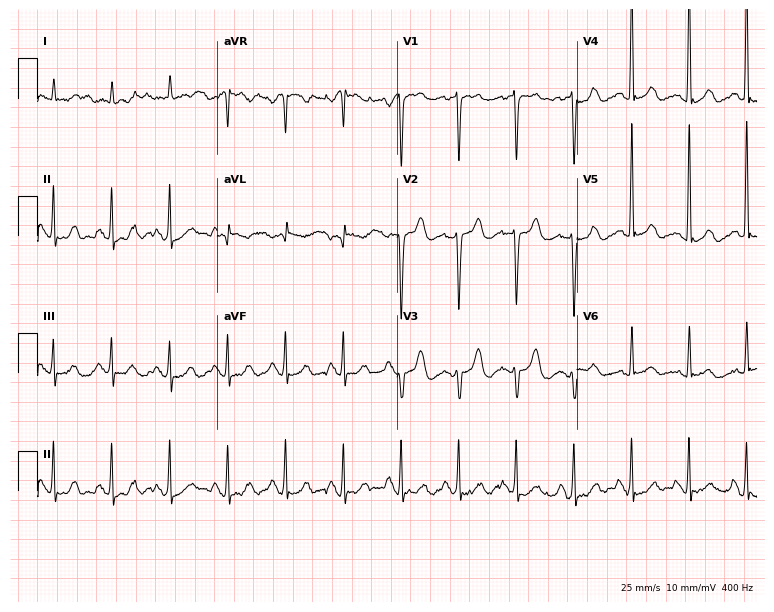
Resting 12-lead electrocardiogram. Patient: a male, 79 years old. None of these six findings is recorded: first-degree AV block, right bundle branch block, left bundle branch block, sinus bradycardia, atrial fibrillation, sinus tachycardia. Other findings, if any, are not listed.